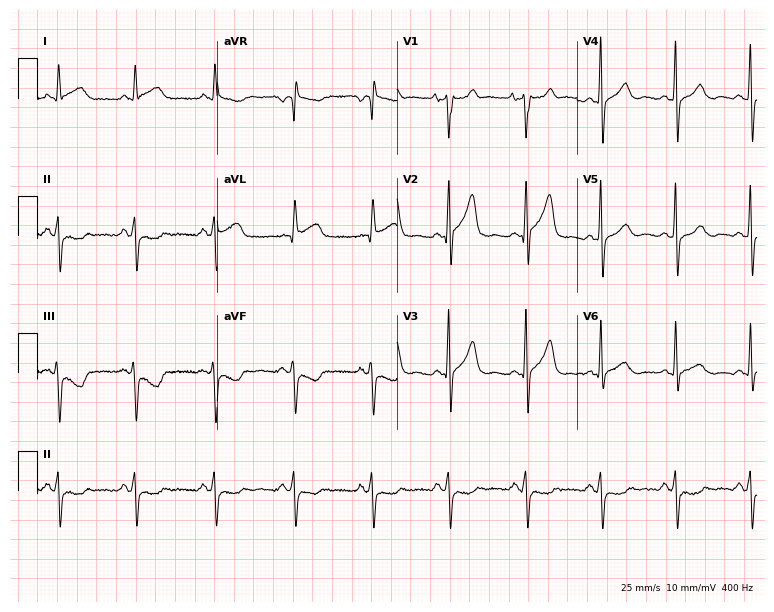
Resting 12-lead electrocardiogram. Patient: a male, 58 years old. None of these six findings is recorded: first-degree AV block, right bundle branch block, left bundle branch block, sinus bradycardia, atrial fibrillation, sinus tachycardia. Only these six findings were labelled.